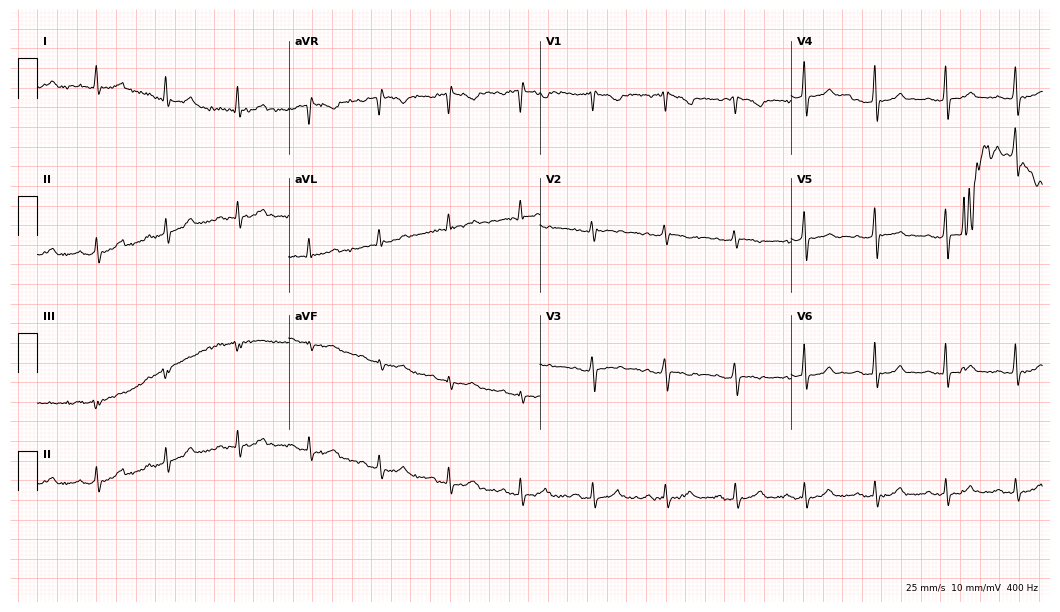
Electrocardiogram, a male patient, 54 years old. Of the six screened findings (first-degree AV block, right bundle branch block, left bundle branch block, sinus bradycardia, atrial fibrillation, sinus tachycardia), none is recorded.